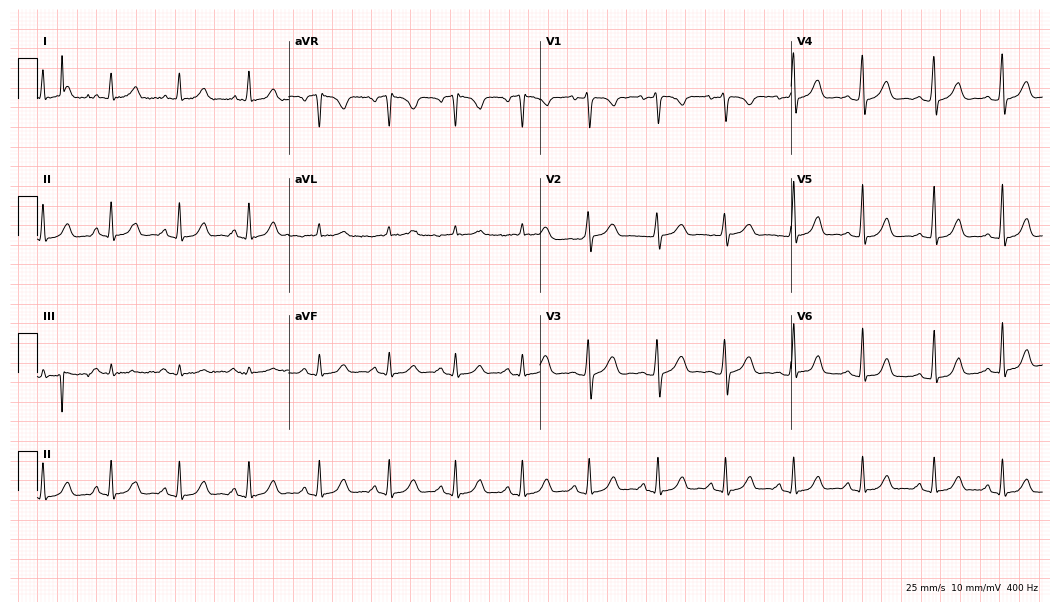
Standard 12-lead ECG recorded from a female, 30 years old (10.2-second recording at 400 Hz). Read as a normal ECG.